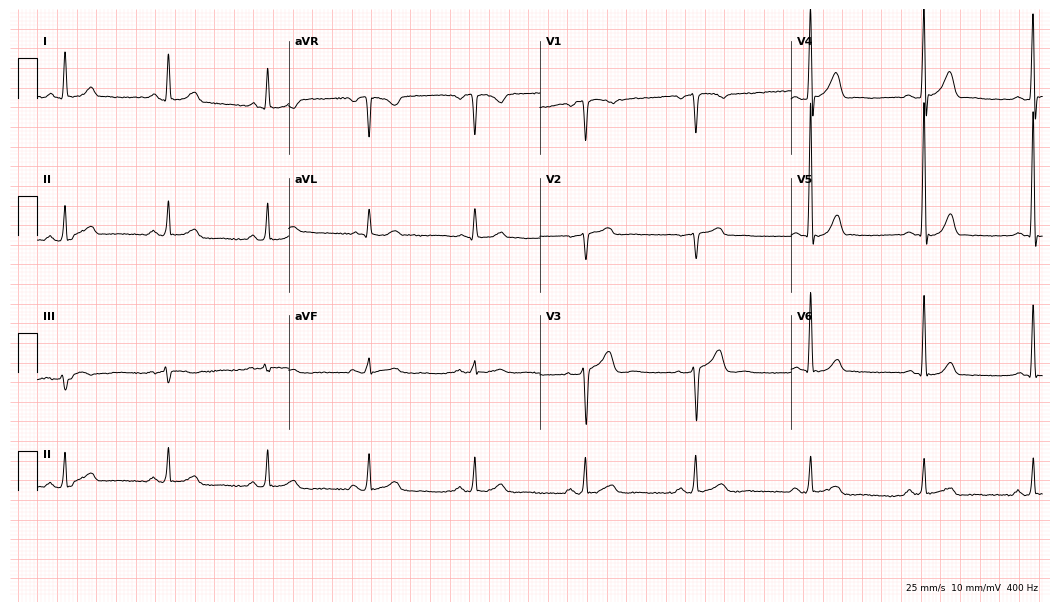
12-lead ECG from a 57-year-old male. No first-degree AV block, right bundle branch block, left bundle branch block, sinus bradycardia, atrial fibrillation or sinus tachycardia recorded for this tracing.